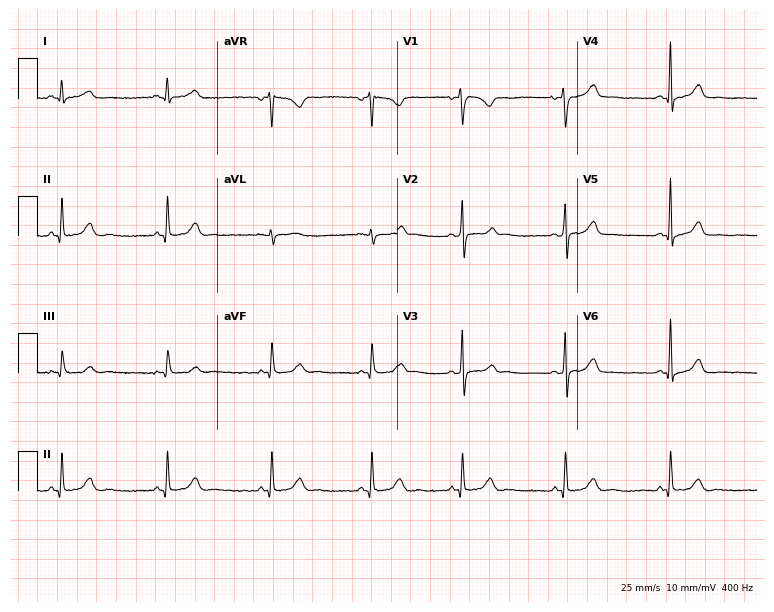
Electrocardiogram (7.3-second recording at 400 Hz), a woman, 38 years old. Overall reading on record: normal ECG.